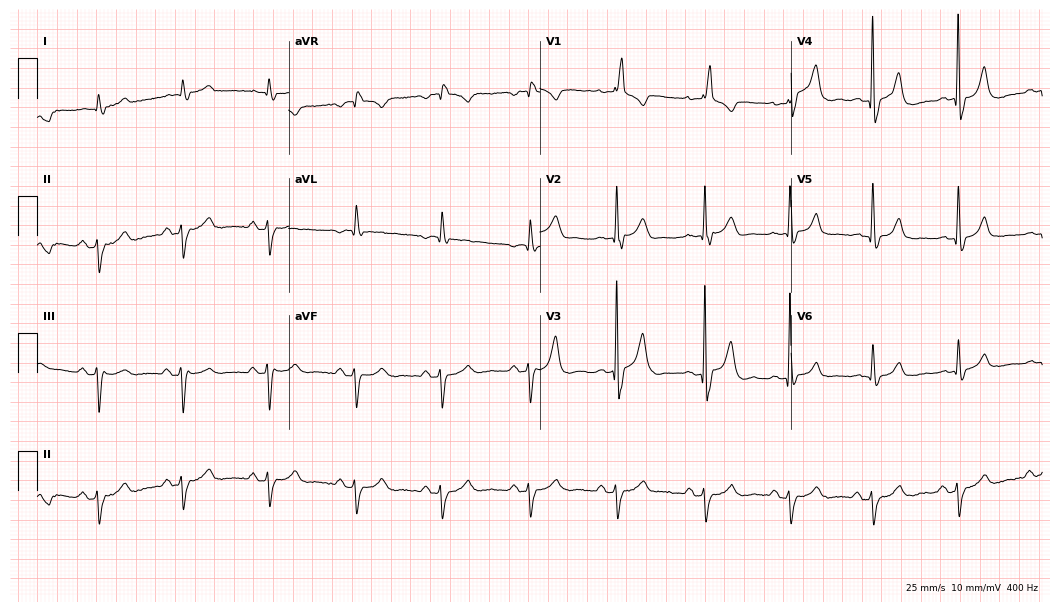
ECG — a 74-year-old male. Screened for six findings — first-degree AV block, right bundle branch block, left bundle branch block, sinus bradycardia, atrial fibrillation, sinus tachycardia — none is recorded. Other findings, if any, are not listed.